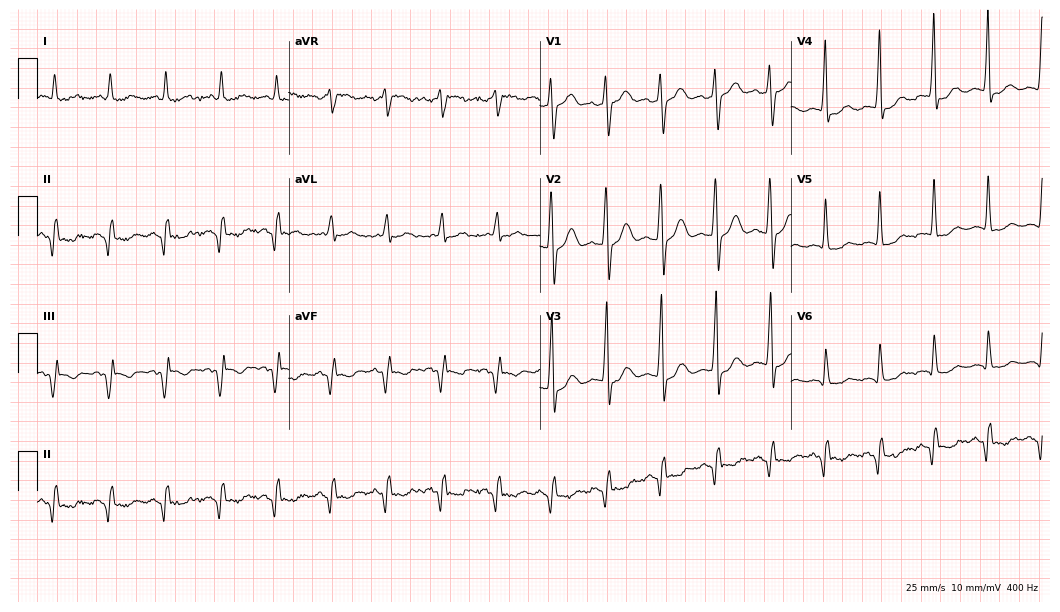
12-lead ECG from a man, 61 years old (10.2-second recording at 400 Hz). Shows sinus tachycardia (a sinus rate of 100 beats per minute or more).